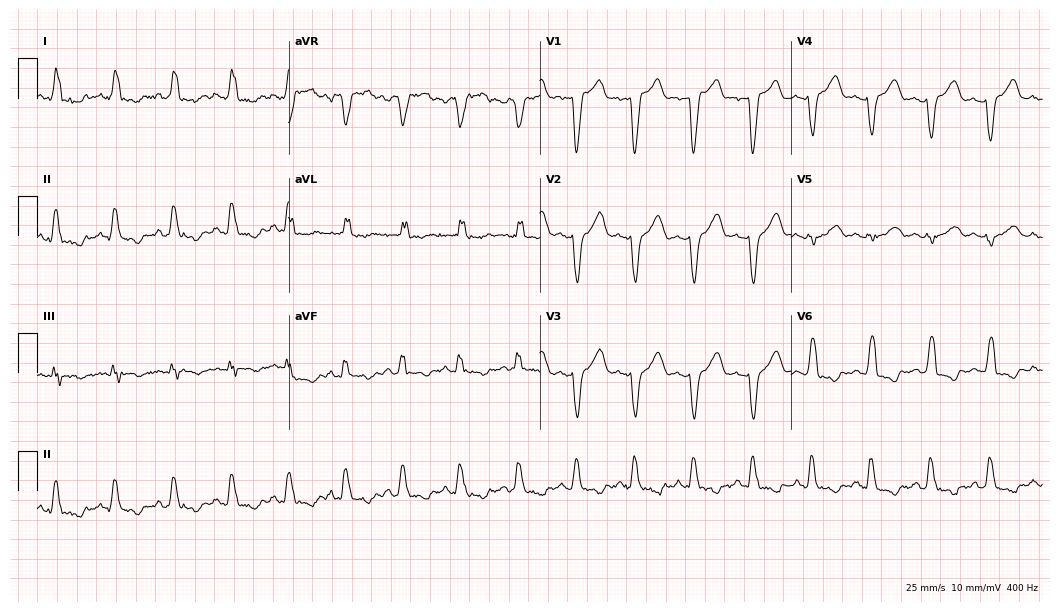
Resting 12-lead electrocardiogram (10.2-second recording at 400 Hz). Patient: a female, 51 years old. The tracing shows left bundle branch block, sinus tachycardia (a sinus rate of 100 beats per minute or more).